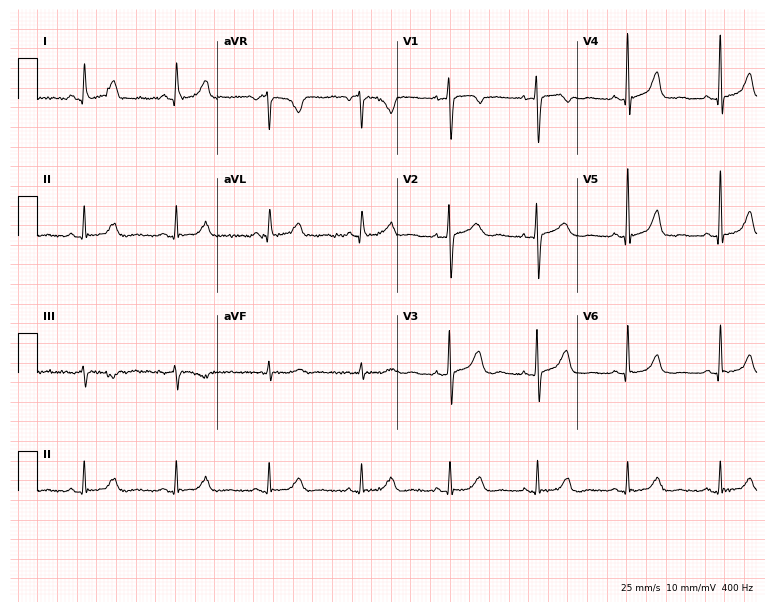
Electrocardiogram, a female patient, 55 years old. Of the six screened findings (first-degree AV block, right bundle branch block, left bundle branch block, sinus bradycardia, atrial fibrillation, sinus tachycardia), none is recorded. Other findings, if any, are not listed.